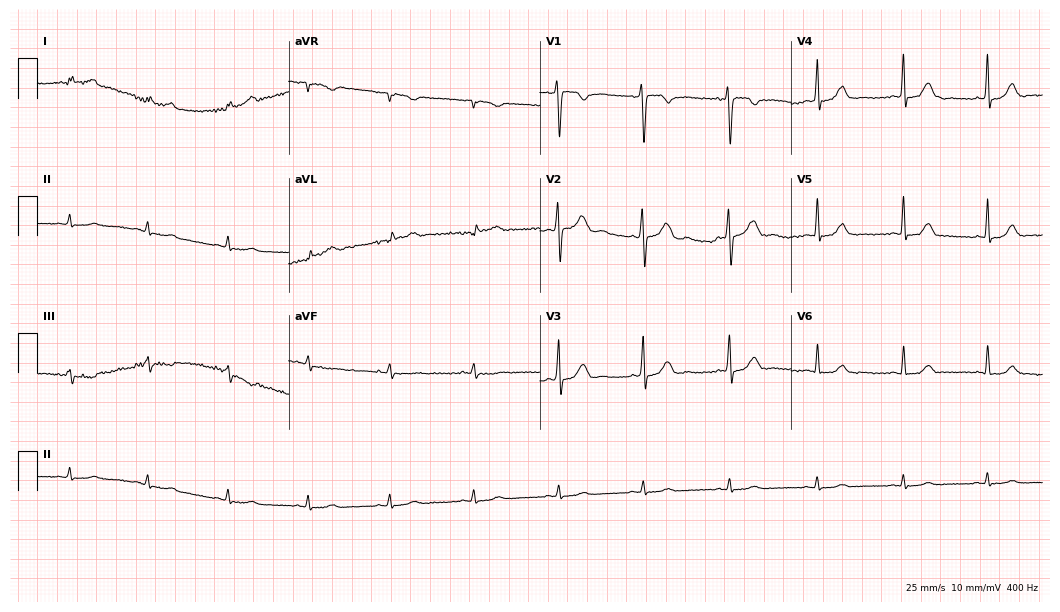
Standard 12-lead ECG recorded from a female patient, 42 years old. None of these six findings is recorded: first-degree AV block, right bundle branch block (RBBB), left bundle branch block (LBBB), sinus bradycardia, atrial fibrillation (AF), sinus tachycardia.